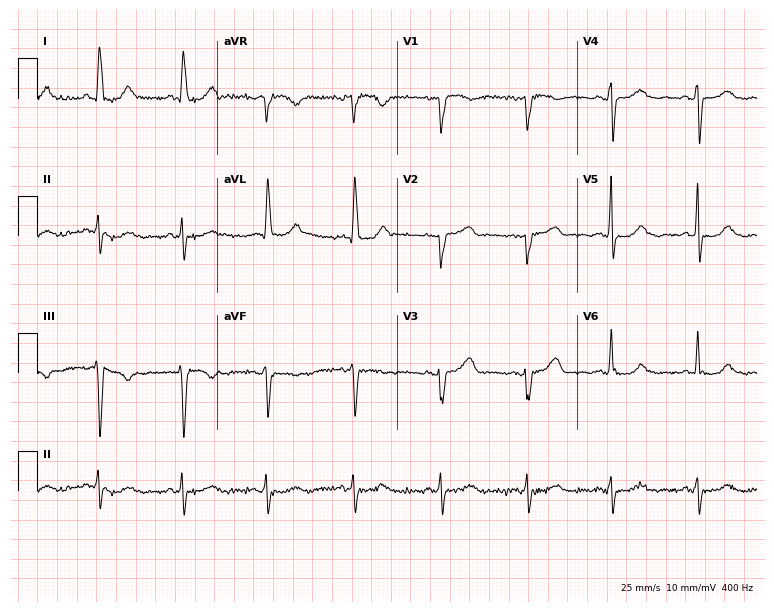
ECG (7.3-second recording at 400 Hz) — a female patient, 55 years old. Screened for six findings — first-degree AV block, right bundle branch block (RBBB), left bundle branch block (LBBB), sinus bradycardia, atrial fibrillation (AF), sinus tachycardia — none is recorded.